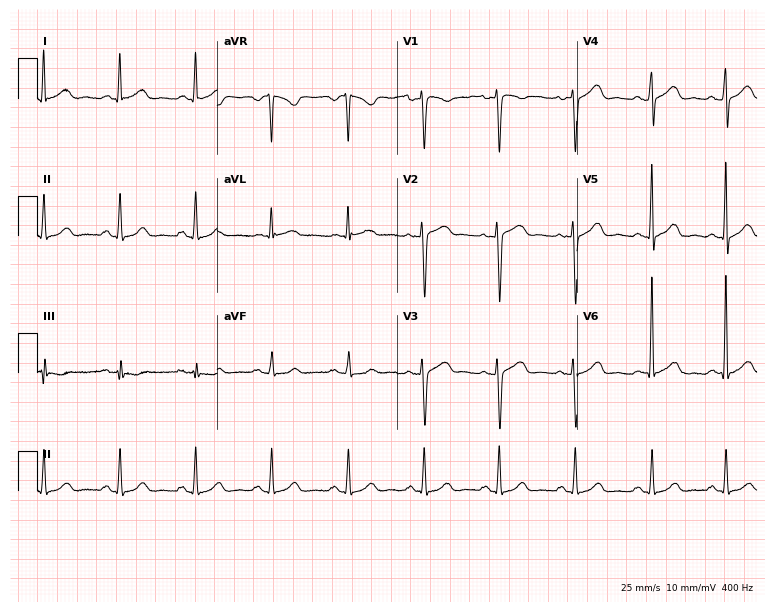
12-lead ECG (7.3-second recording at 400 Hz) from a female patient, 34 years old. Labelled as a normal ECG.